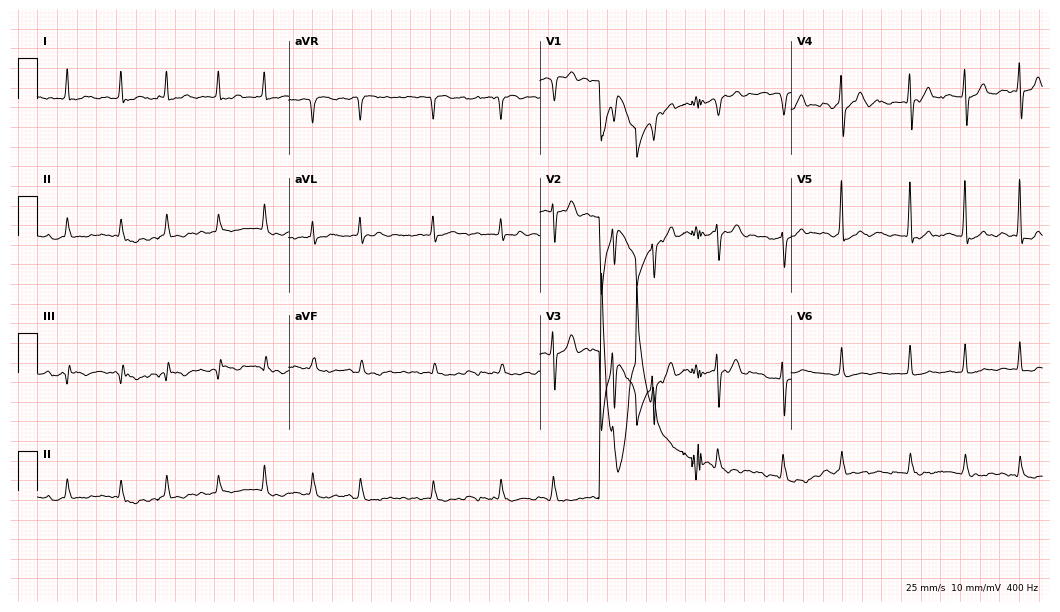
Resting 12-lead electrocardiogram. Patient: a female, 70 years old. None of these six findings is recorded: first-degree AV block, right bundle branch block (RBBB), left bundle branch block (LBBB), sinus bradycardia, atrial fibrillation (AF), sinus tachycardia. Only these six findings were labelled.